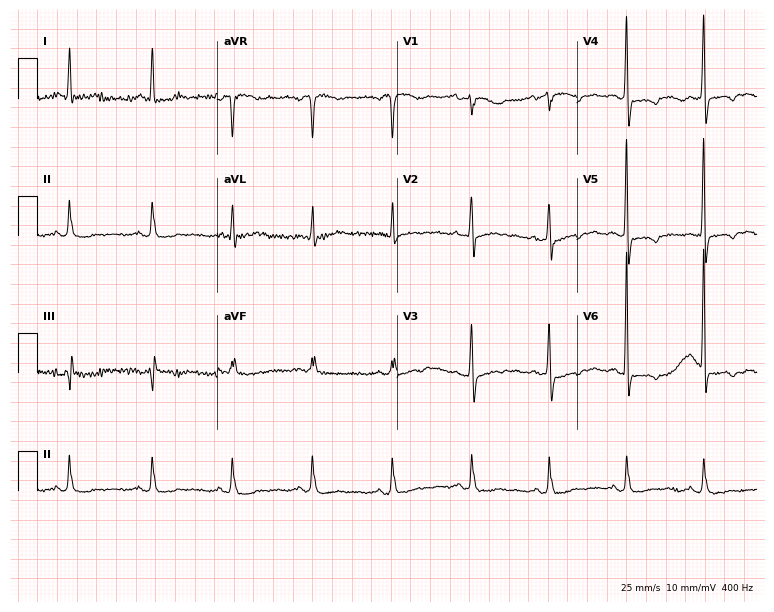
Electrocardiogram (7.3-second recording at 400 Hz), a 68-year-old female patient. Of the six screened findings (first-degree AV block, right bundle branch block, left bundle branch block, sinus bradycardia, atrial fibrillation, sinus tachycardia), none is recorded.